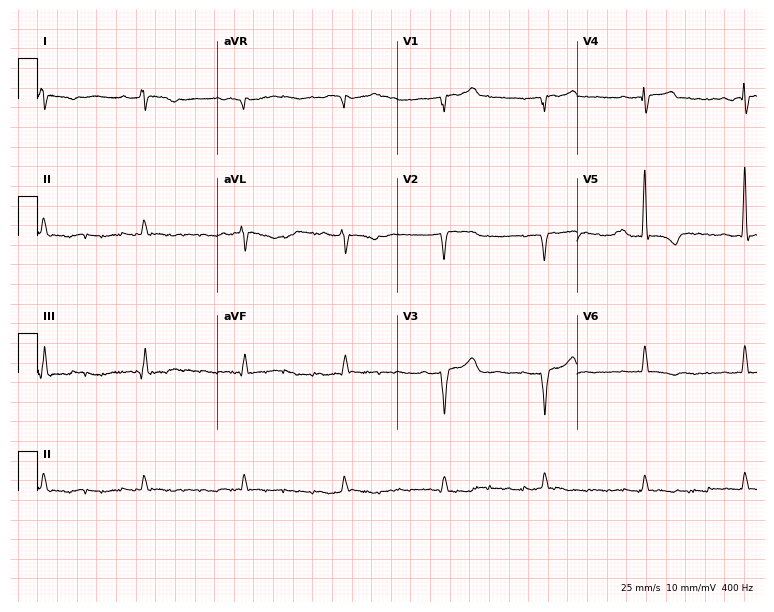
12-lead ECG from a male, 76 years old. No first-degree AV block, right bundle branch block, left bundle branch block, sinus bradycardia, atrial fibrillation or sinus tachycardia recorded for this tracing. Other findings, if any, are not listed.